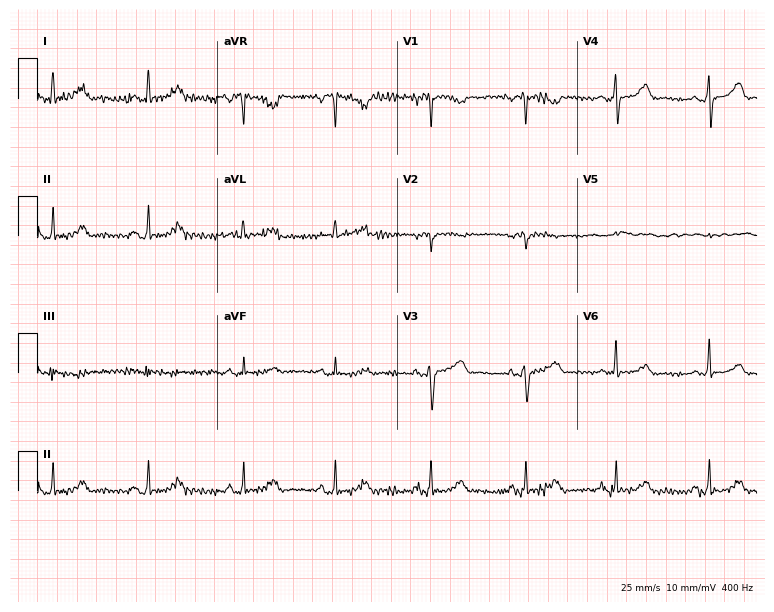
Electrocardiogram, a female, 48 years old. Of the six screened findings (first-degree AV block, right bundle branch block (RBBB), left bundle branch block (LBBB), sinus bradycardia, atrial fibrillation (AF), sinus tachycardia), none is recorded. Findings outside these six are not listed.